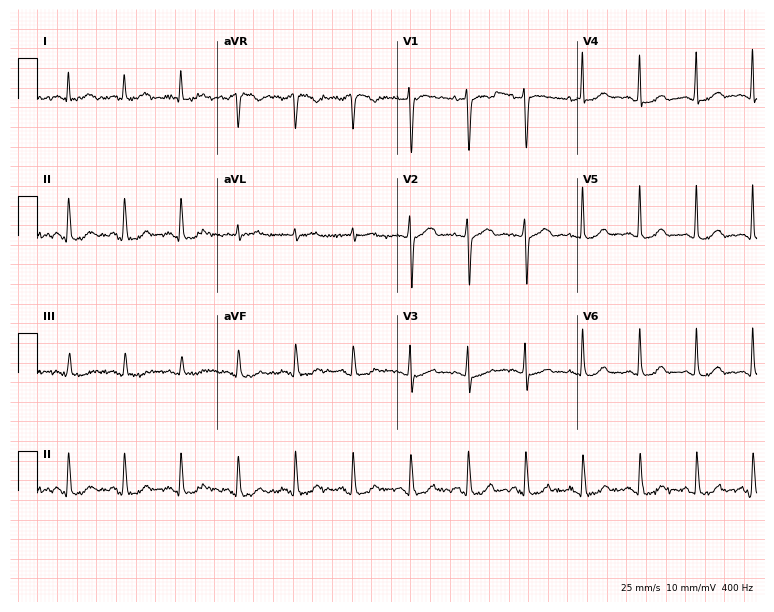
ECG (7.3-second recording at 400 Hz) — a 49-year-old female. Findings include sinus tachycardia (a sinus rate of 100 beats per minute or more).